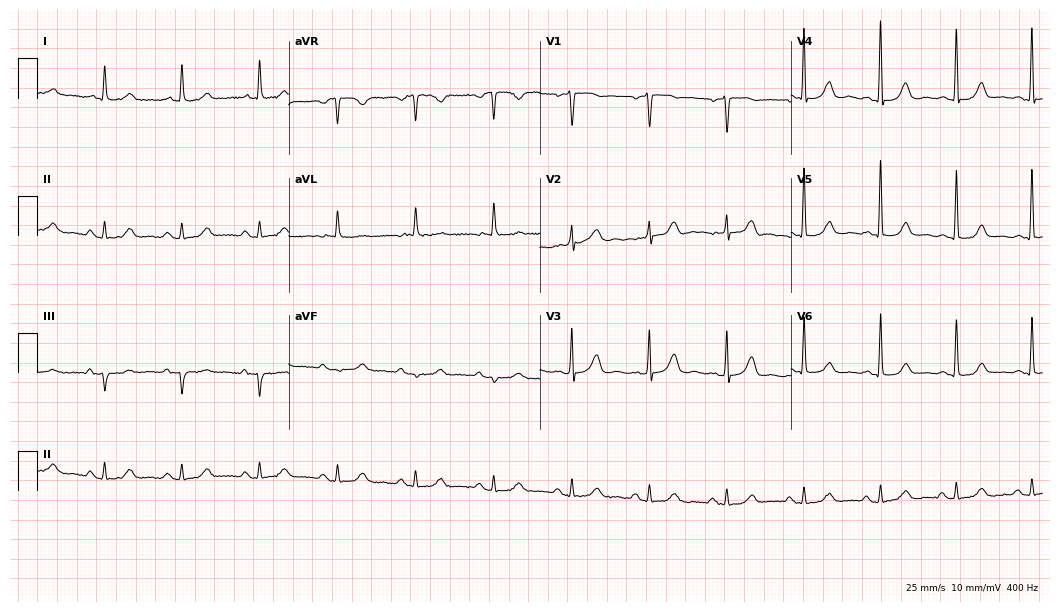
Electrocardiogram (10.2-second recording at 400 Hz), a female, 74 years old. Of the six screened findings (first-degree AV block, right bundle branch block (RBBB), left bundle branch block (LBBB), sinus bradycardia, atrial fibrillation (AF), sinus tachycardia), none is recorded.